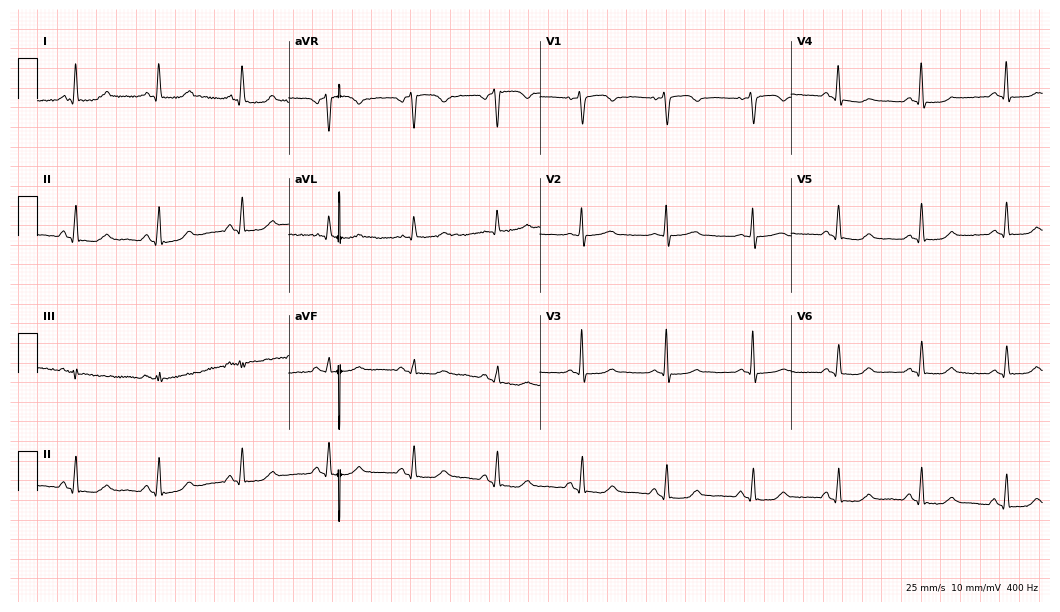
Resting 12-lead electrocardiogram (10.2-second recording at 400 Hz). Patient: a 57-year-old female. None of these six findings is recorded: first-degree AV block, right bundle branch block, left bundle branch block, sinus bradycardia, atrial fibrillation, sinus tachycardia. Findings outside these six are not listed.